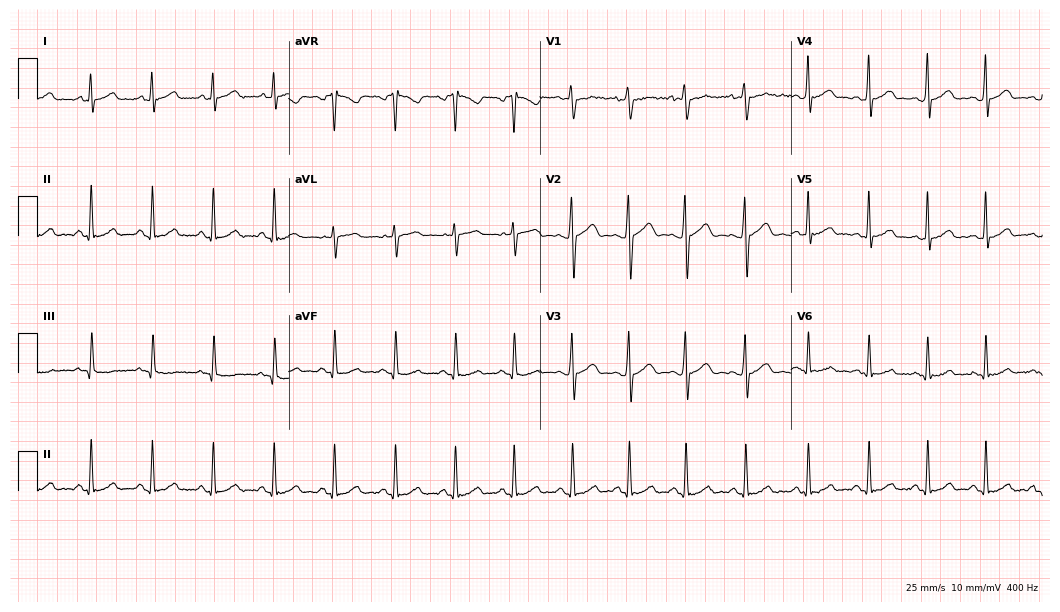
Standard 12-lead ECG recorded from a male, 20 years old (10.2-second recording at 400 Hz). None of these six findings is recorded: first-degree AV block, right bundle branch block, left bundle branch block, sinus bradycardia, atrial fibrillation, sinus tachycardia. Findings outside these six are not listed.